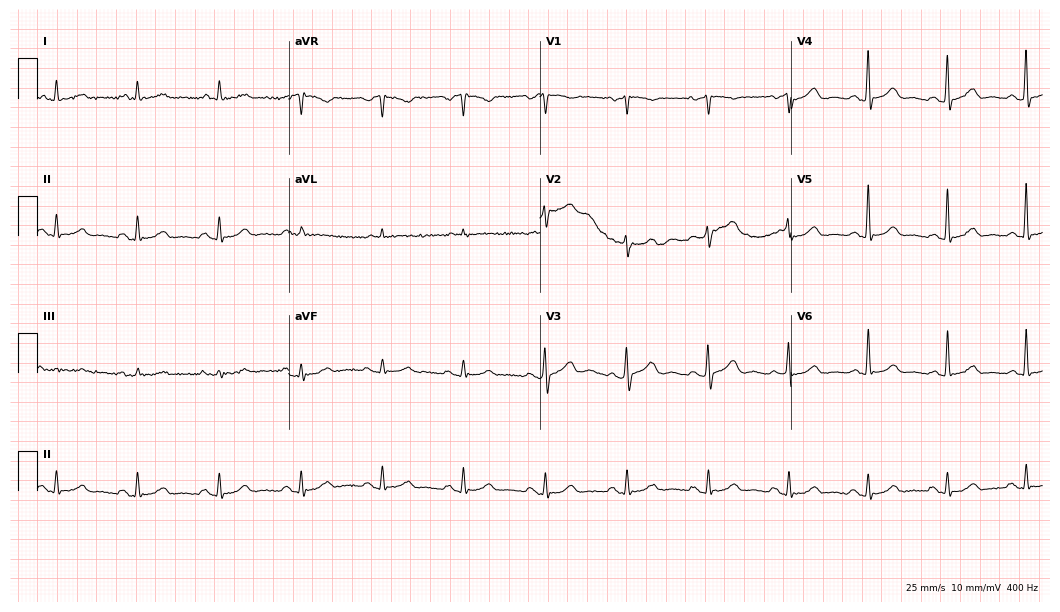
Resting 12-lead electrocardiogram. Patient: an 85-year-old male. Read as a normal ECG.